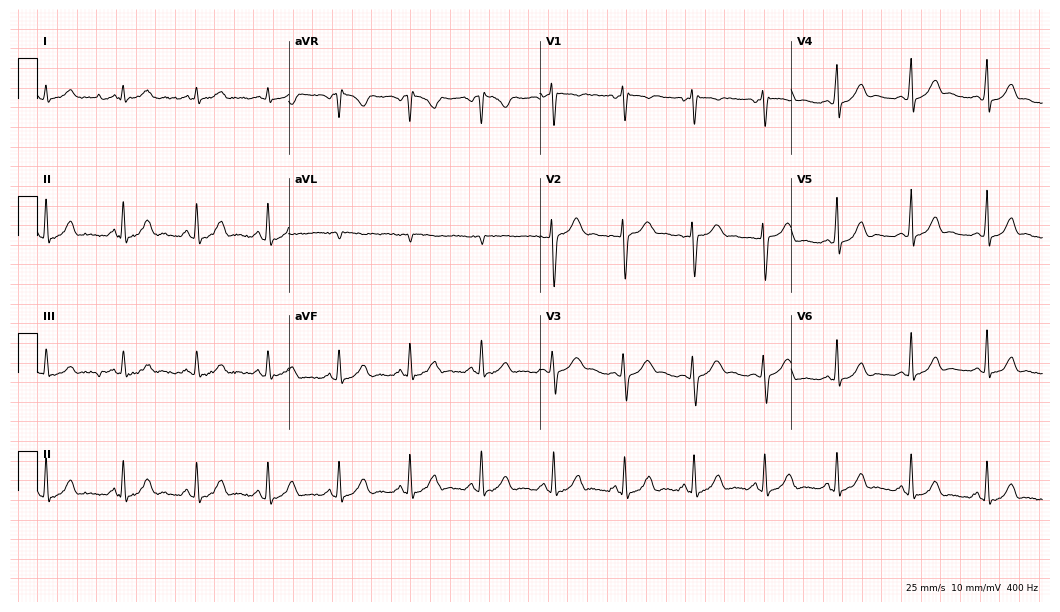
ECG — a female patient, 20 years old. Labelled as a normal ECG.